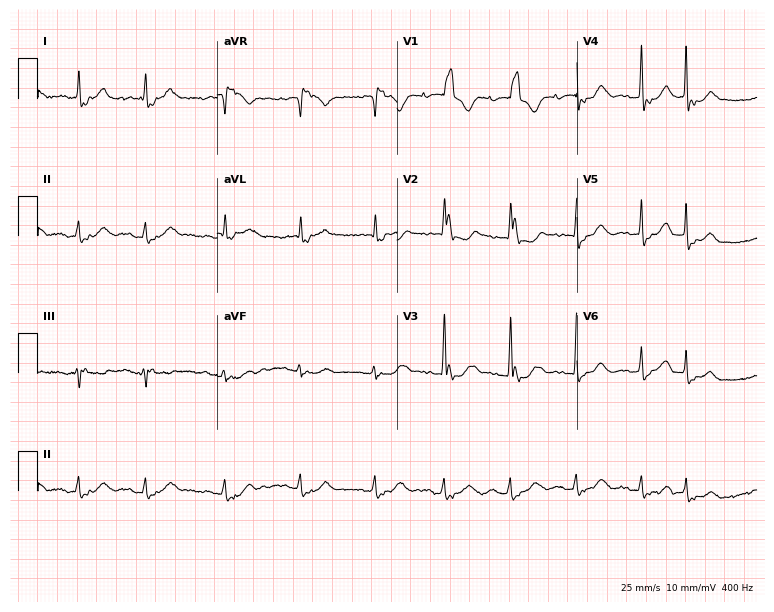
12-lead ECG from a female, 85 years old (7.3-second recording at 400 Hz). Shows right bundle branch block.